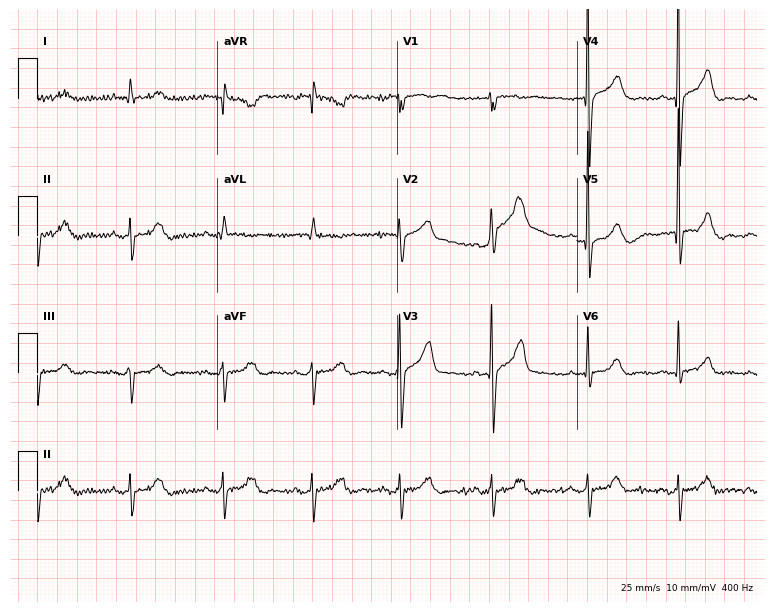
Standard 12-lead ECG recorded from a male, 66 years old. None of these six findings is recorded: first-degree AV block, right bundle branch block (RBBB), left bundle branch block (LBBB), sinus bradycardia, atrial fibrillation (AF), sinus tachycardia. Only these six findings were labelled.